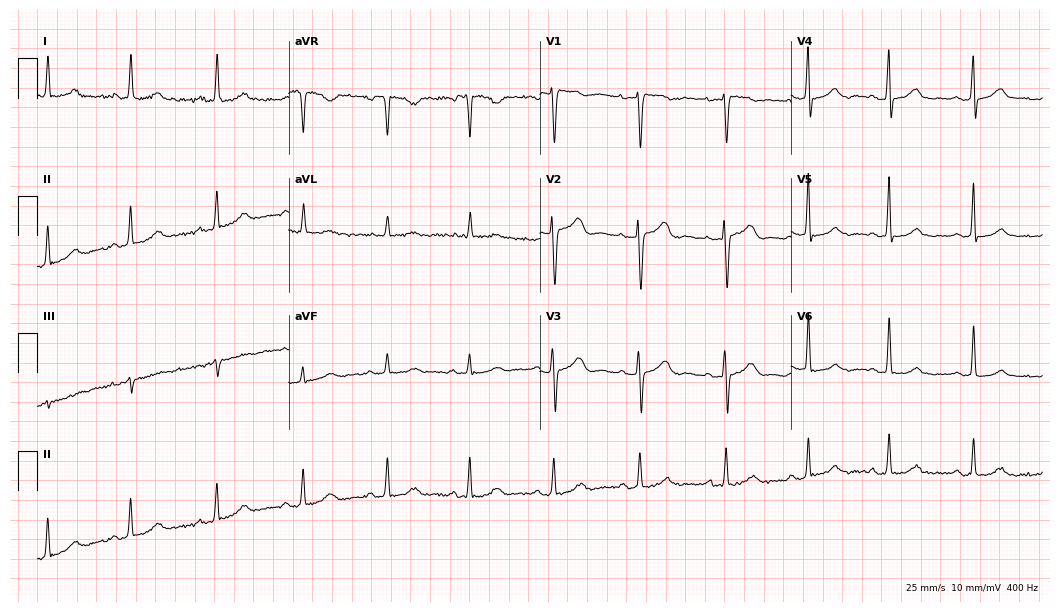
ECG (10.2-second recording at 400 Hz) — a 55-year-old woman. Labelled as a normal ECG.